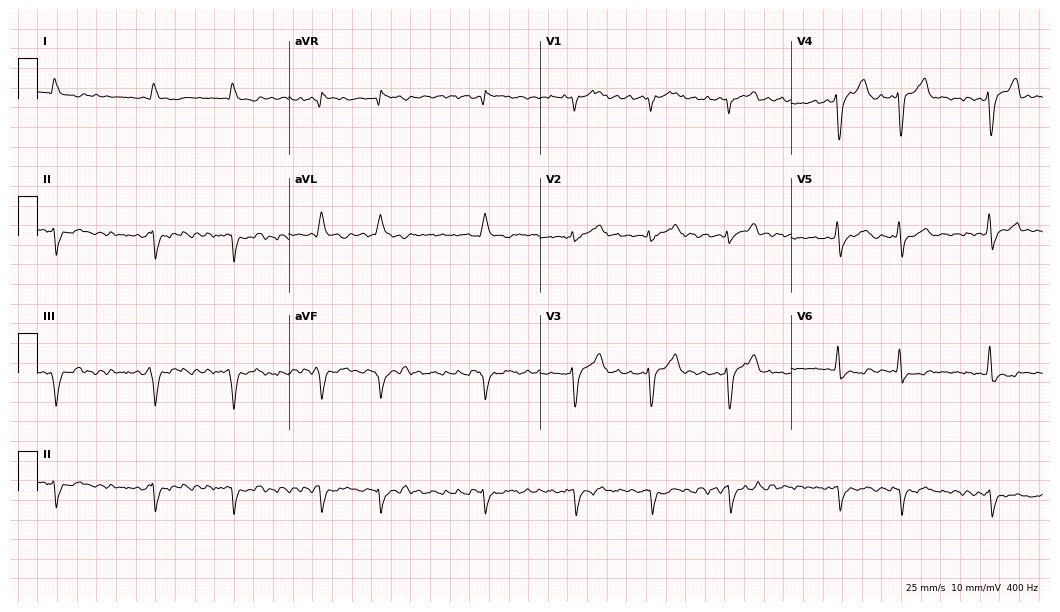
ECG (10.2-second recording at 400 Hz) — a 73-year-old male patient. Findings include left bundle branch block (LBBB), atrial fibrillation (AF).